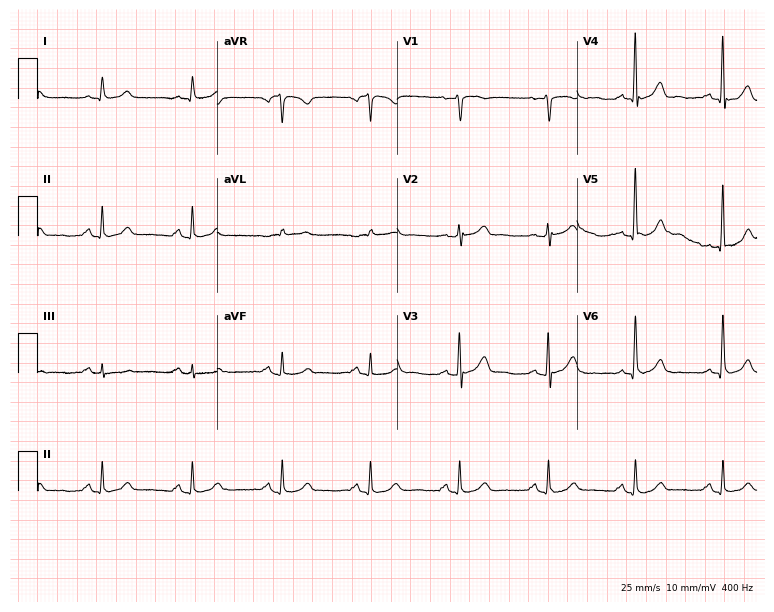
ECG (7.3-second recording at 400 Hz) — a 76-year-old male patient. Labelled as a normal ECG.